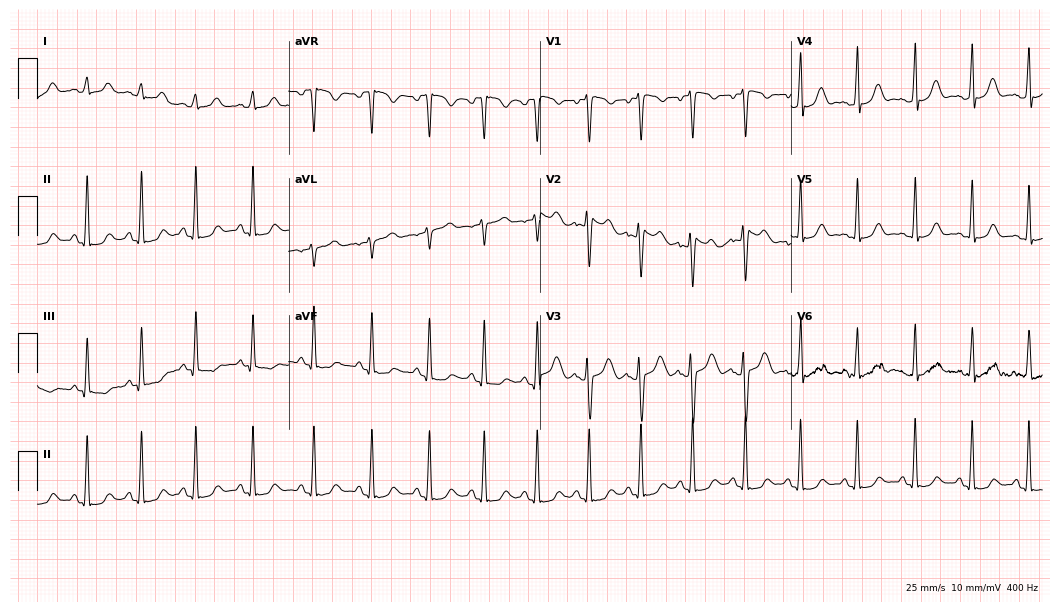
12-lead ECG from an 18-year-old female patient. No first-degree AV block, right bundle branch block, left bundle branch block, sinus bradycardia, atrial fibrillation or sinus tachycardia recorded for this tracing.